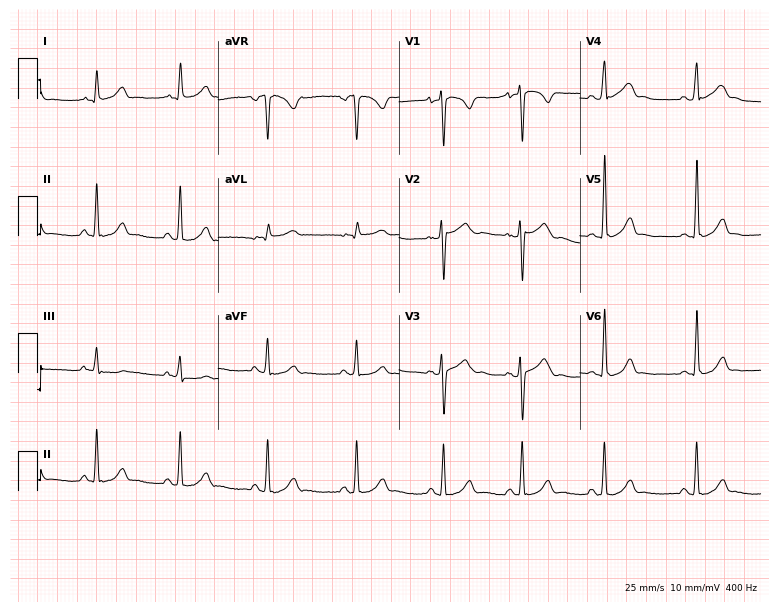
Standard 12-lead ECG recorded from a female patient, 26 years old (7.4-second recording at 400 Hz). Read as a normal ECG.